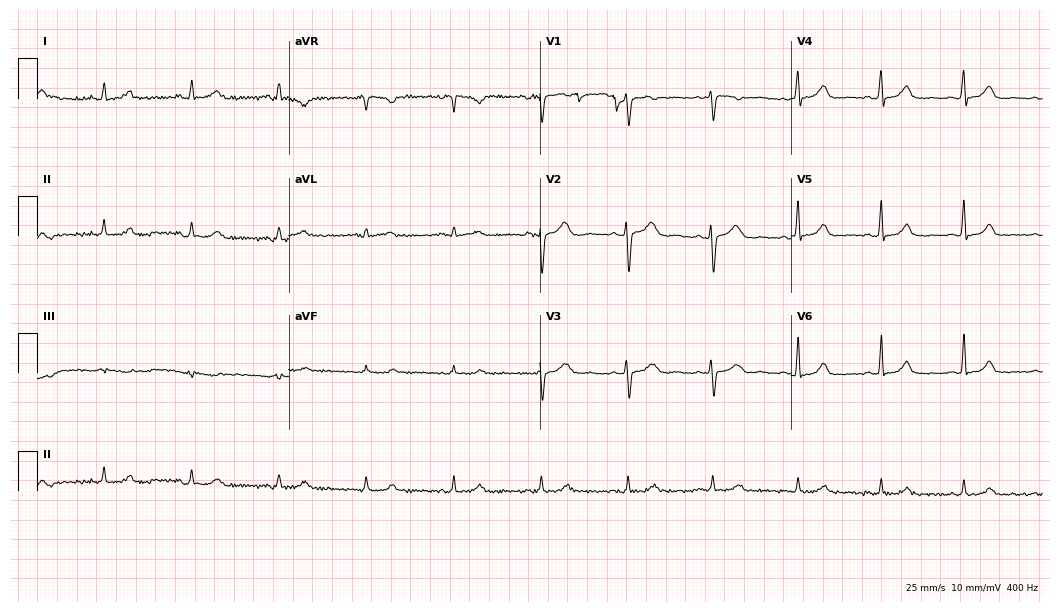
Resting 12-lead electrocardiogram. Patient: a female, 41 years old. None of these six findings is recorded: first-degree AV block, right bundle branch block, left bundle branch block, sinus bradycardia, atrial fibrillation, sinus tachycardia.